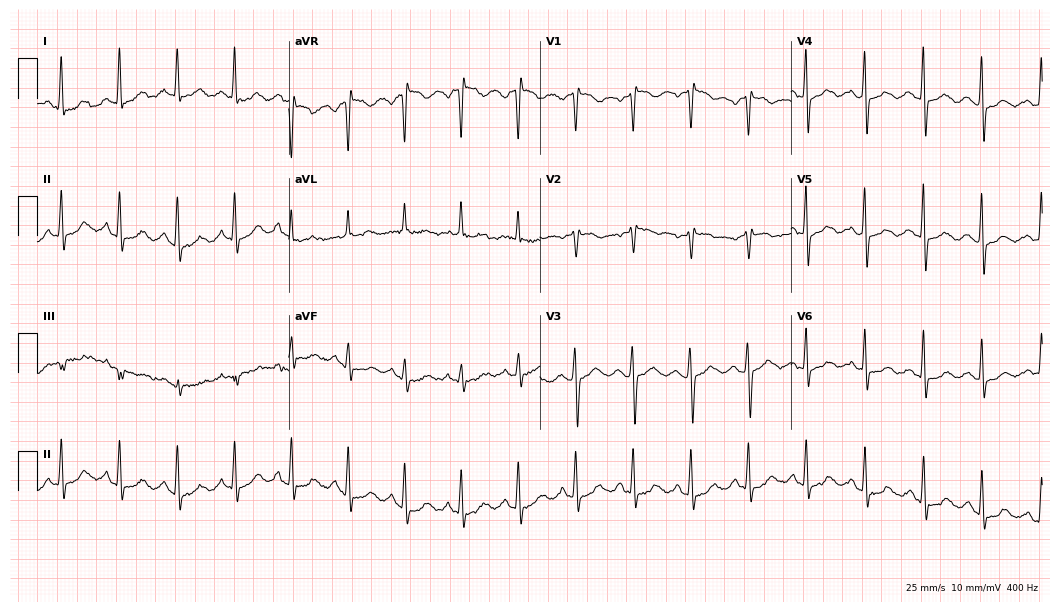
Electrocardiogram, a 78-year-old female patient. Interpretation includes sinus tachycardia (a sinus rate of 100 beats per minute or more).